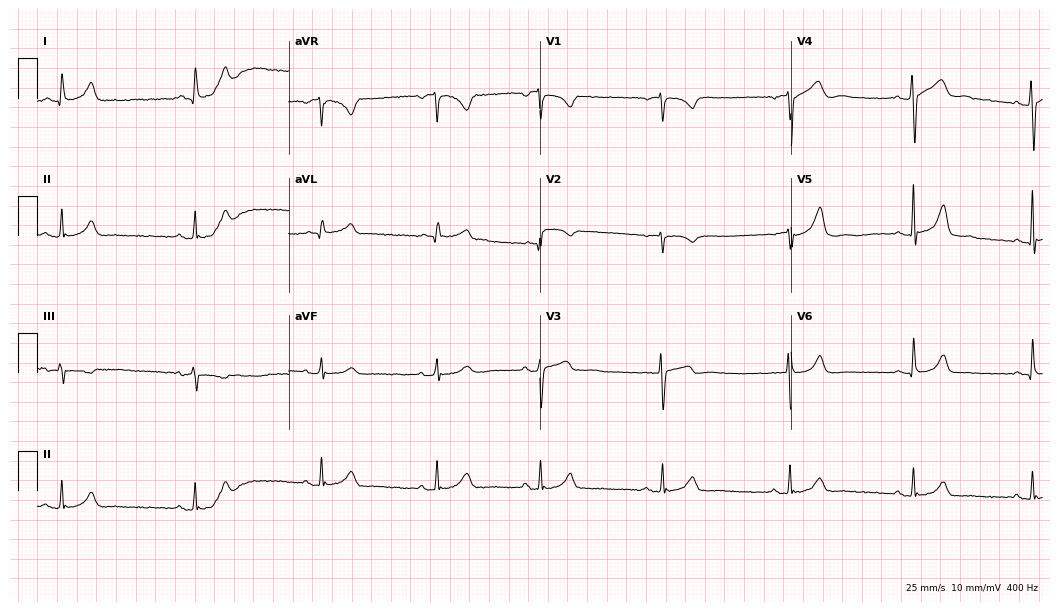
12-lead ECG from a female, 48 years old. Shows sinus bradycardia (a sinus rate of 50 beats per minute or less).